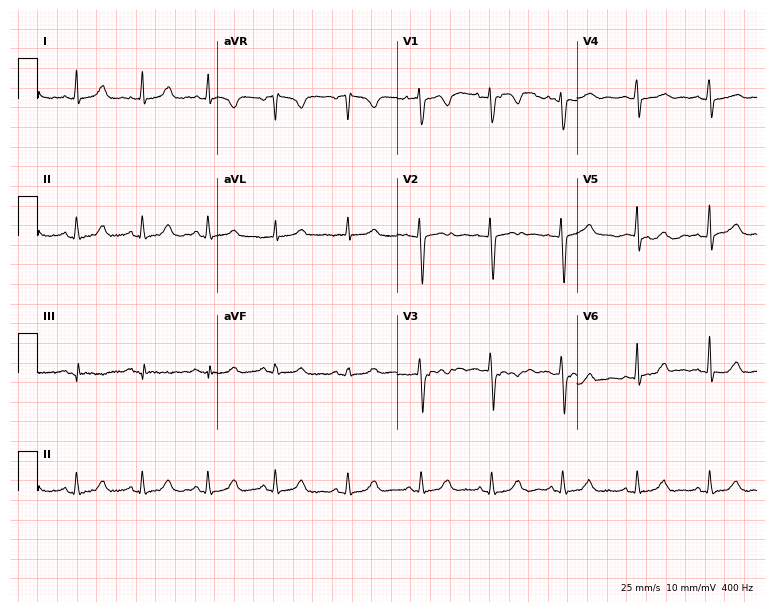
12-lead ECG from a female patient, 32 years old. Recorded interpretation: within normal limits.